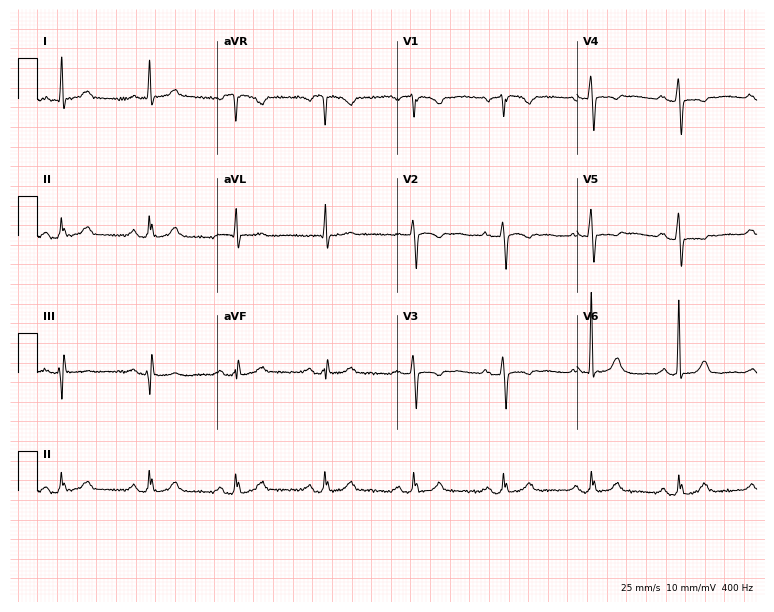
Standard 12-lead ECG recorded from a male patient, 82 years old (7.3-second recording at 400 Hz). None of these six findings is recorded: first-degree AV block, right bundle branch block (RBBB), left bundle branch block (LBBB), sinus bradycardia, atrial fibrillation (AF), sinus tachycardia.